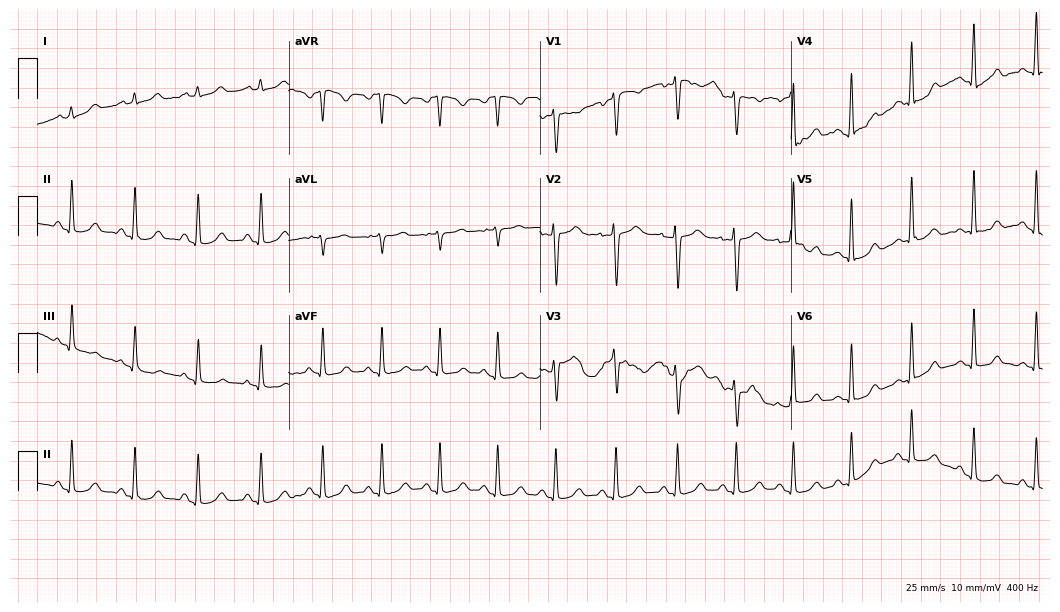
12-lead ECG from a 32-year-old female patient. Recorded interpretation: within normal limits.